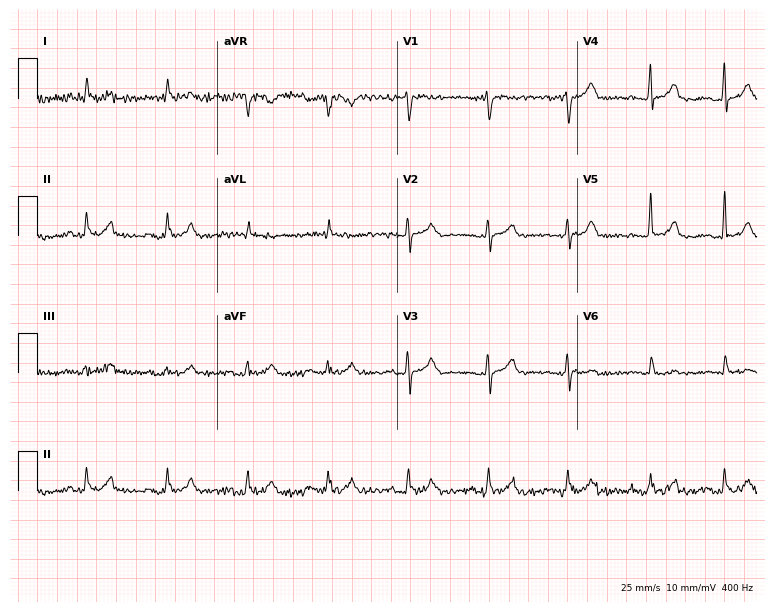
Standard 12-lead ECG recorded from a male patient, 80 years old (7.3-second recording at 400 Hz). None of these six findings is recorded: first-degree AV block, right bundle branch block (RBBB), left bundle branch block (LBBB), sinus bradycardia, atrial fibrillation (AF), sinus tachycardia.